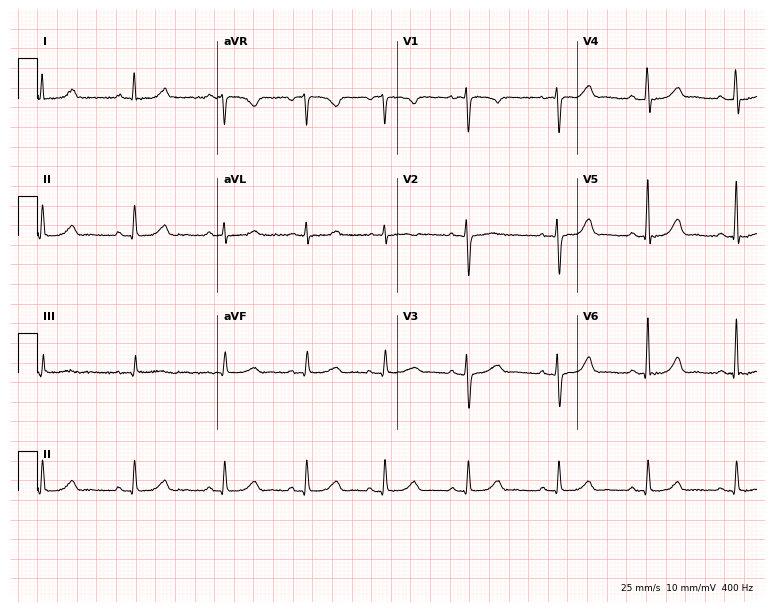
Standard 12-lead ECG recorded from a female patient, 39 years old (7.3-second recording at 400 Hz). Read as a normal ECG.